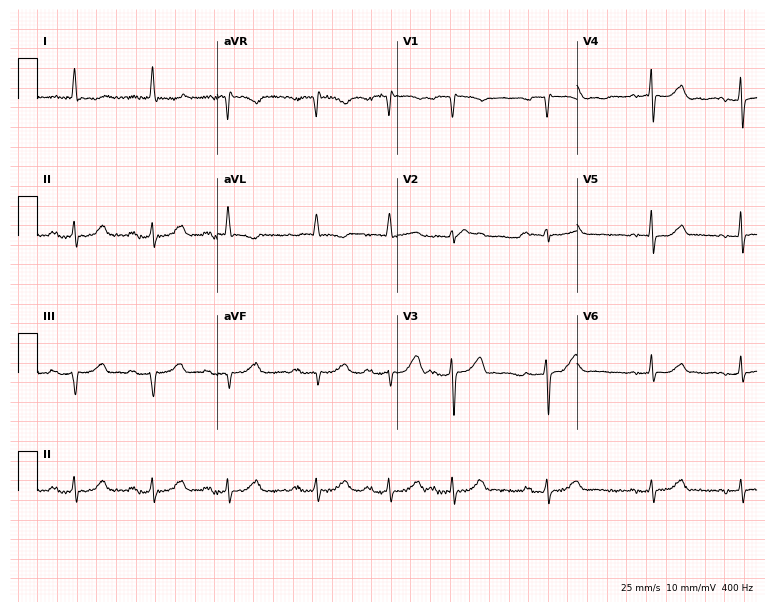
Standard 12-lead ECG recorded from a 78-year-old woman. The tracing shows first-degree AV block.